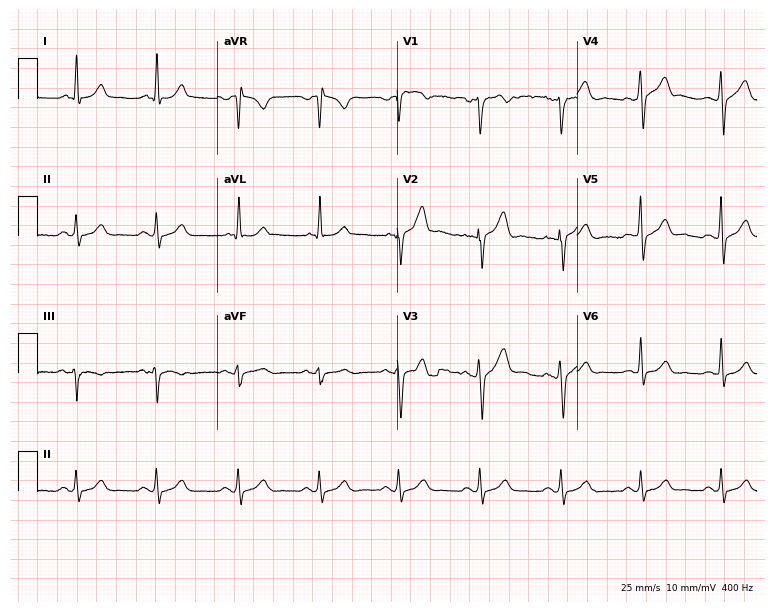
12-lead ECG from a male patient, 64 years old. Labelled as a normal ECG.